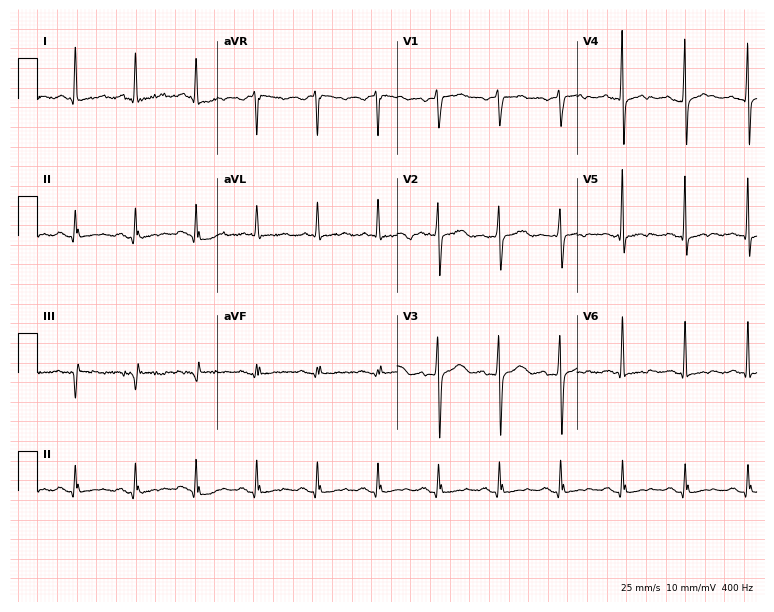
ECG (7.3-second recording at 400 Hz) — a 64-year-old female. Screened for six findings — first-degree AV block, right bundle branch block, left bundle branch block, sinus bradycardia, atrial fibrillation, sinus tachycardia — none is recorded. Findings outside these six are not listed.